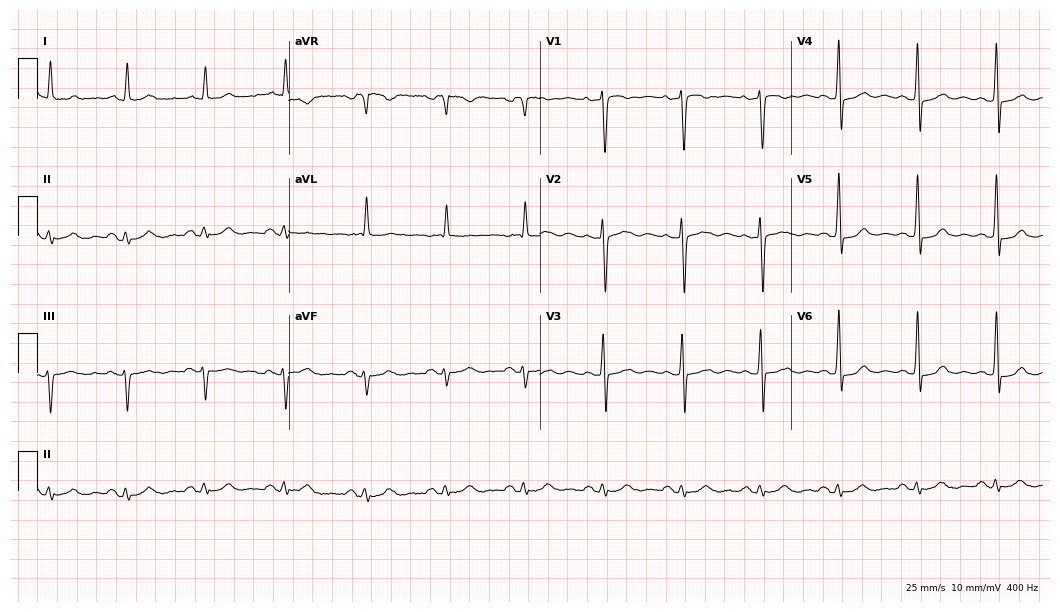
Resting 12-lead electrocardiogram (10.2-second recording at 400 Hz). Patient: a 77-year-old man. Read as a normal ECG.